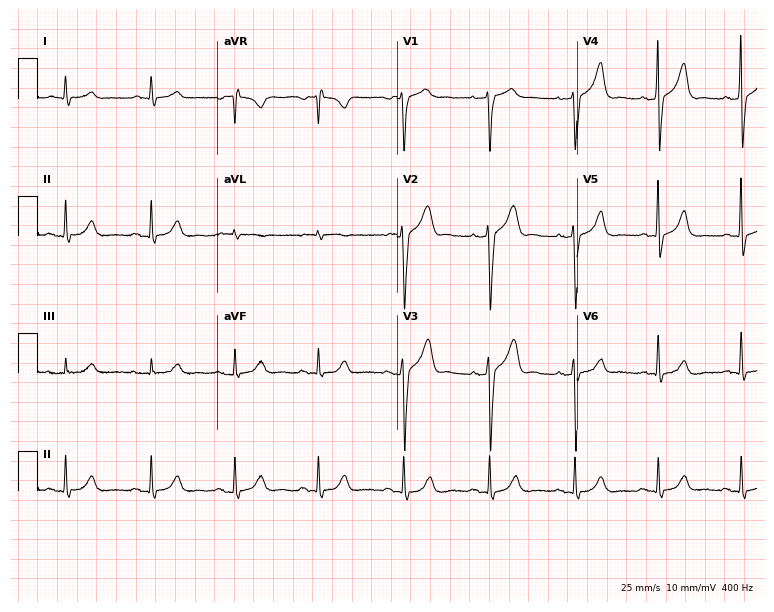
12-lead ECG (7.3-second recording at 400 Hz) from a 54-year-old male. Labelled as a normal ECG.